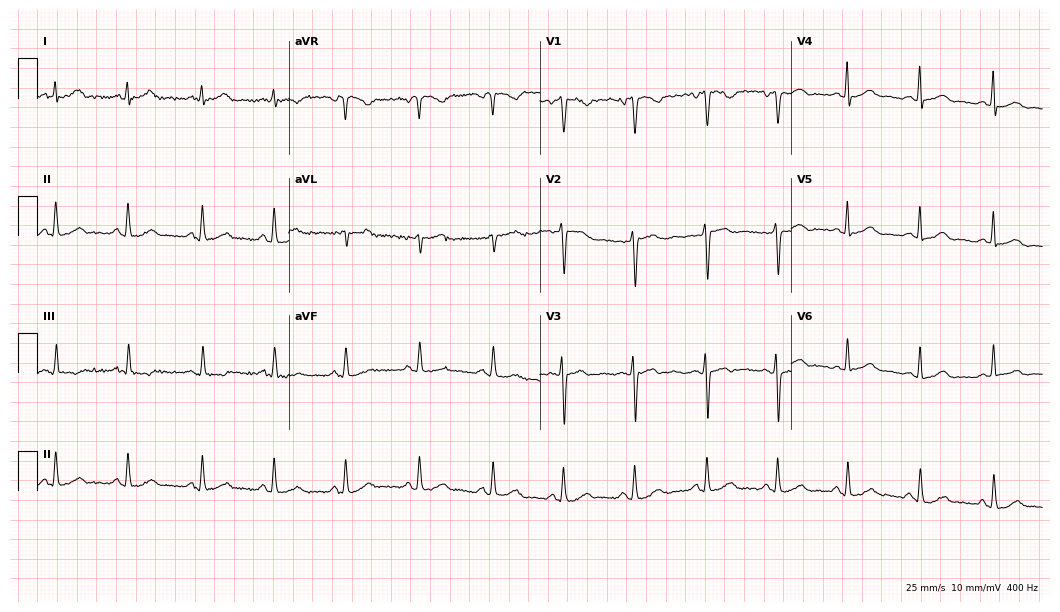
ECG (10.2-second recording at 400 Hz) — a female, 46 years old. Labelled as a normal ECG.